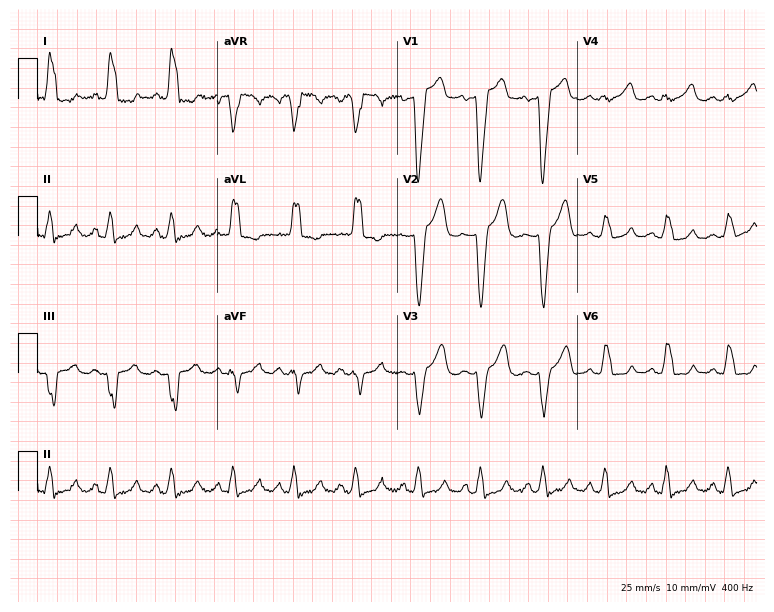
Standard 12-lead ECG recorded from a 33-year-old male. The tracing shows left bundle branch block.